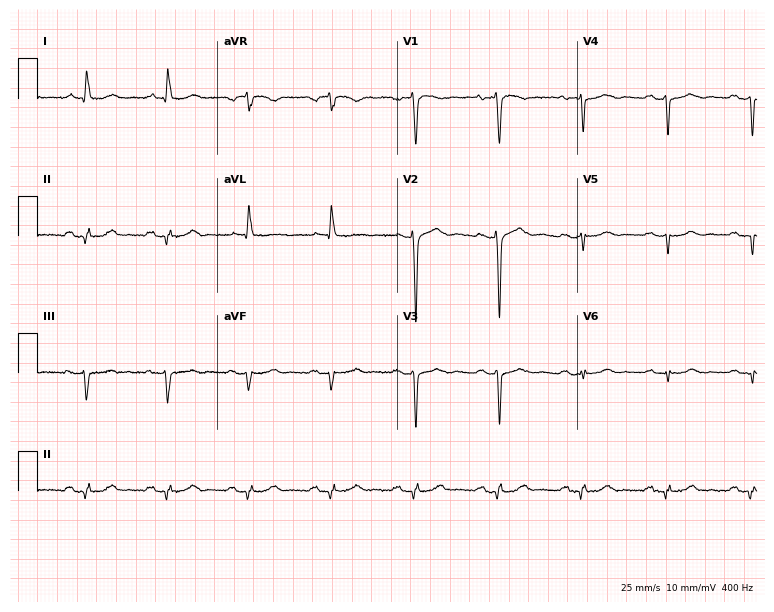
Standard 12-lead ECG recorded from a male patient, 73 years old (7.3-second recording at 400 Hz). None of these six findings is recorded: first-degree AV block, right bundle branch block, left bundle branch block, sinus bradycardia, atrial fibrillation, sinus tachycardia. Findings outside these six are not listed.